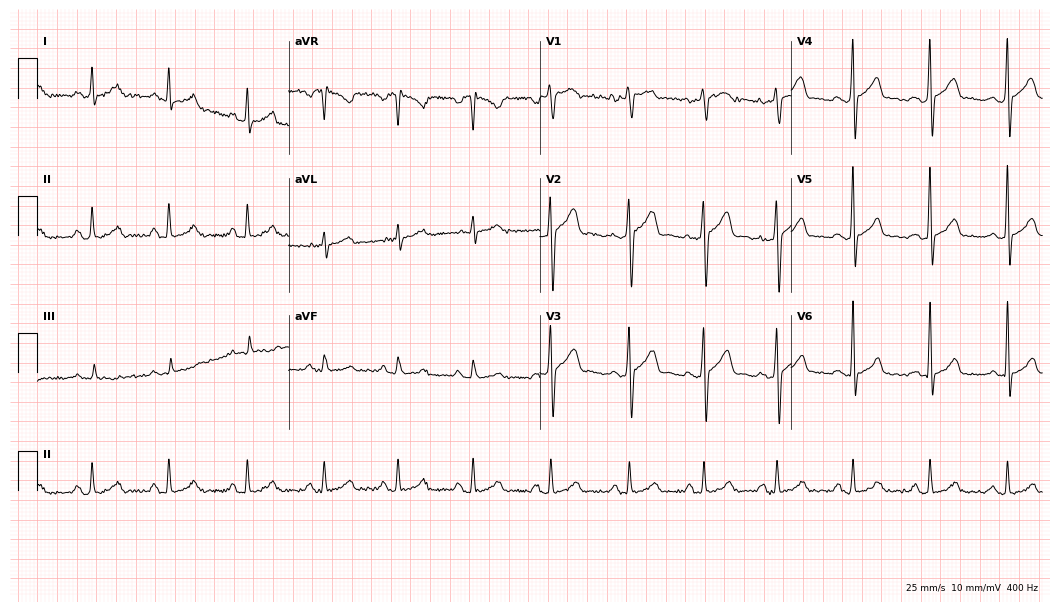
12-lead ECG from a 22-year-old male patient. Recorded interpretation: within normal limits.